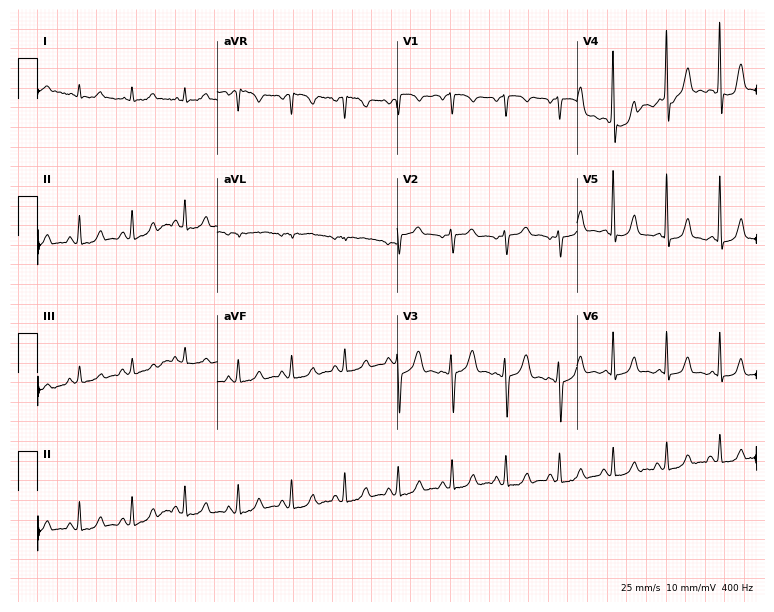
12-lead ECG (7.3-second recording at 400 Hz) from a woman, 68 years old. Screened for six findings — first-degree AV block, right bundle branch block, left bundle branch block, sinus bradycardia, atrial fibrillation, sinus tachycardia — none is recorded. Only these six findings were labelled.